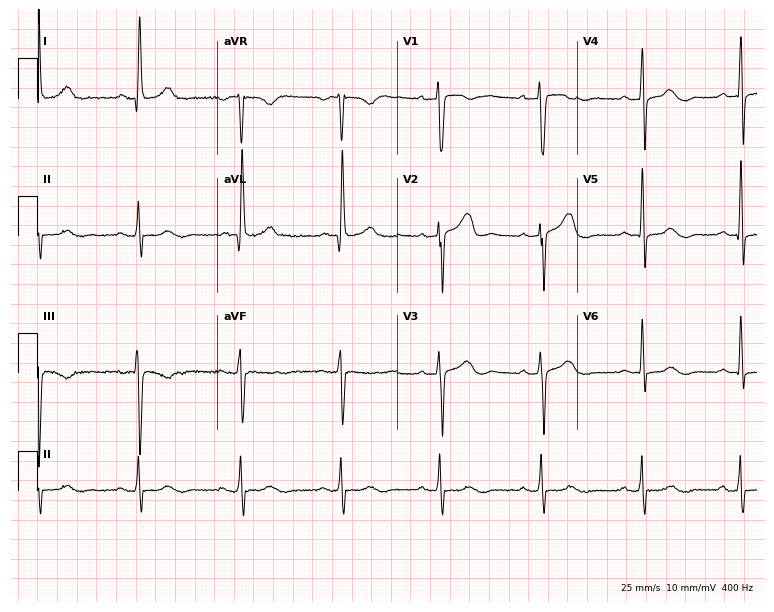
Electrocardiogram, a male, 81 years old. Of the six screened findings (first-degree AV block, right bundle branch block, left bundle branch block, sinus bradycardia, atrial fibrillation, sinus tachycardia), none is recorded. Findings outside these six are not listed.